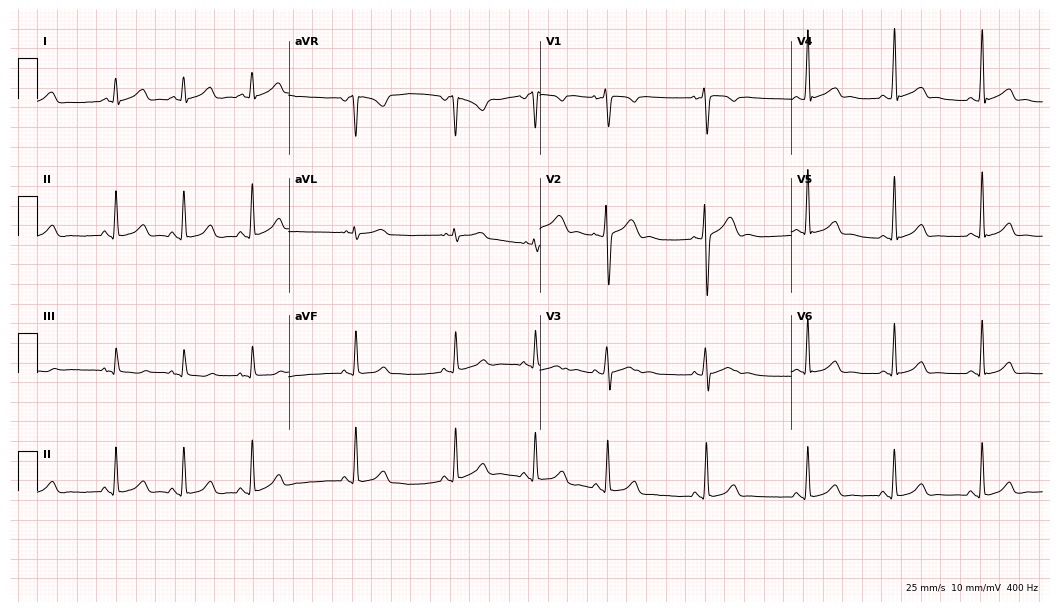
Resting 12-lead electrocardiogram. Patient: a 24-year-old female. None of these six findings is recorded: first-degree AV block, right bundle branch block, left bundle branch block, sinus bradycardia, atrial fibrillation, sinus tachycardia. Other findings, if any, are not listed.